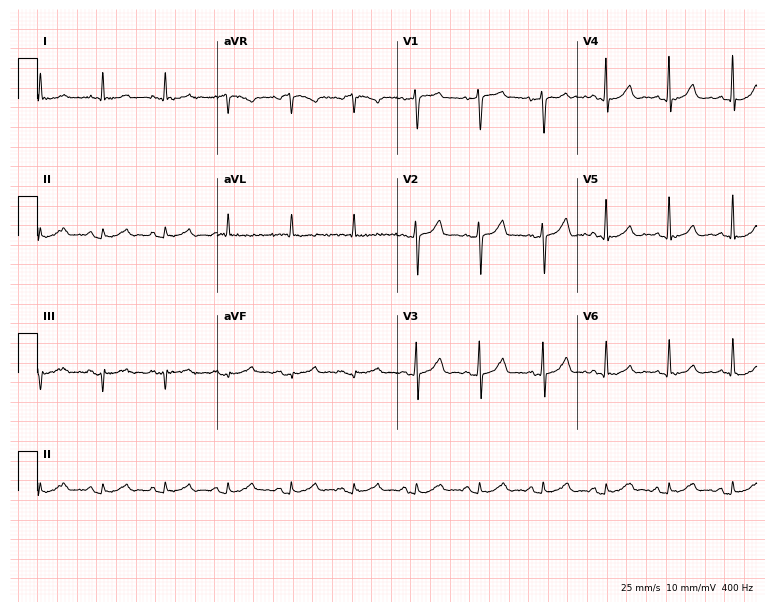
Standard 12-lead ECG recorded from a man, 67 years old. Read as a normal ECG.